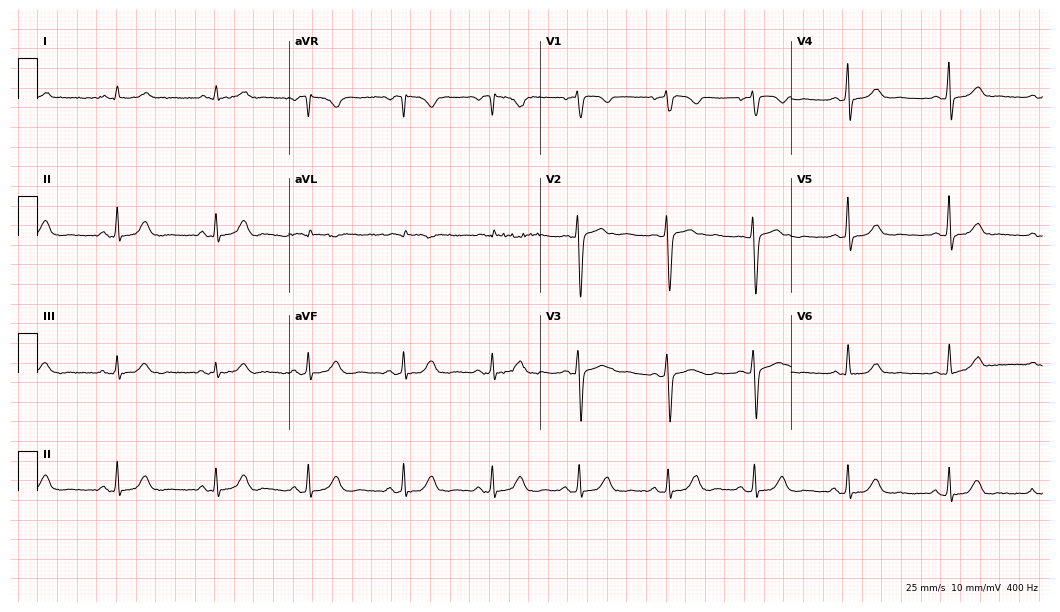
Resting 12-lead electrocardiogram. Patient: a female, 56 years old. Read as a normal ECG.